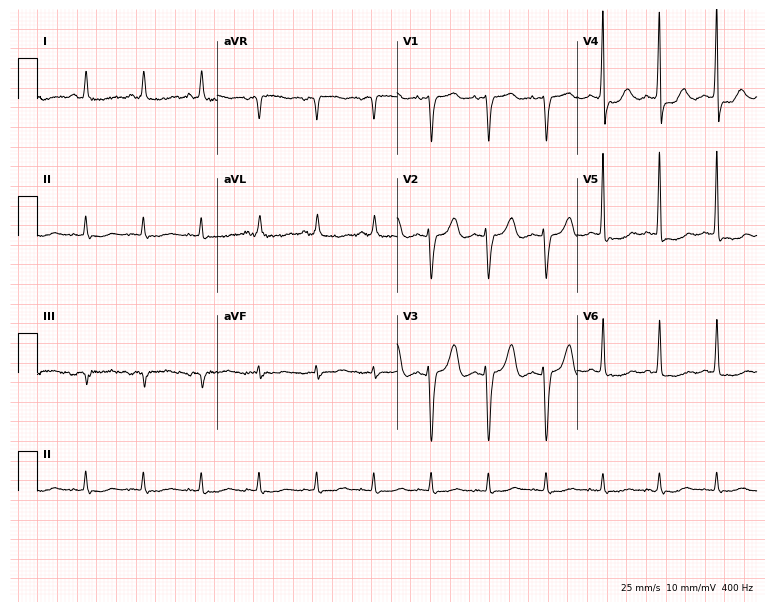
Resting 12-lead electrocardiogram (7.3-second recording at 400 Hz). Patient: a female, 84 years old. None of these six findings is recorded: first-degree AV block, right bundle branch block, left bundle branch block, sinus bradycardia, atrial fibrillation, sinus tachycardia.